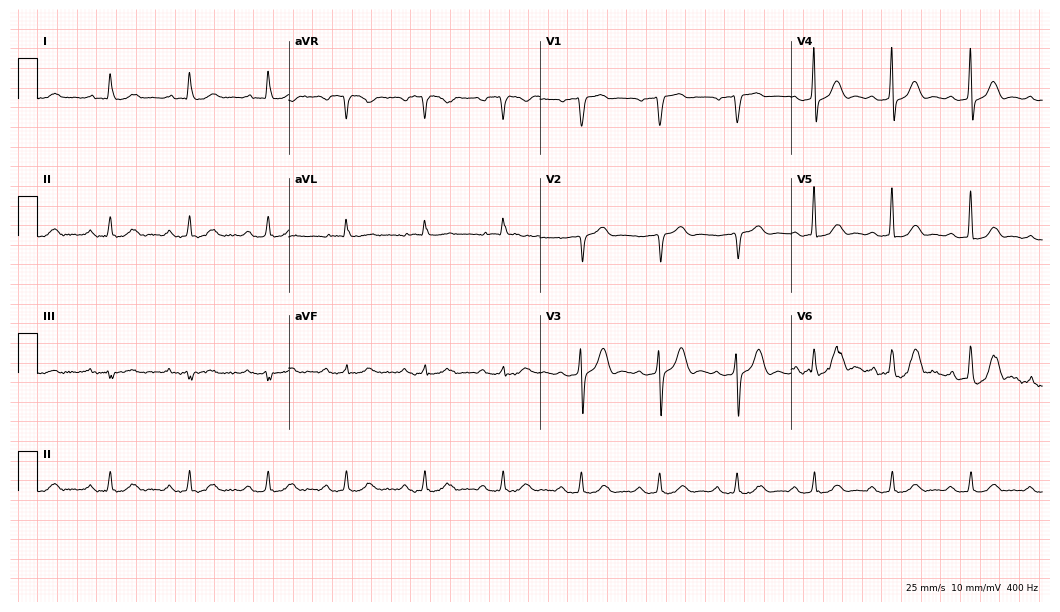
12-lead ECG from an 82-year-old man. Shows first-degree AV block.